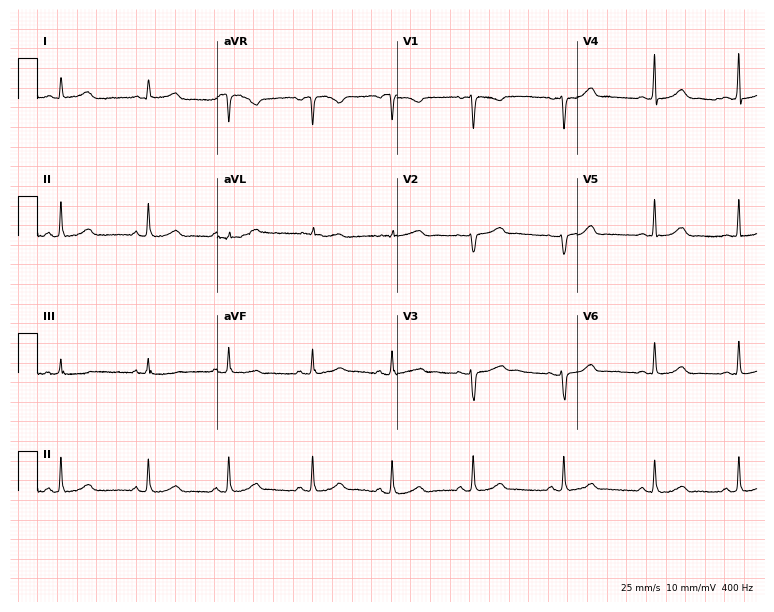
12-lead ECG from a 41-year-old woman. Screened for six findings — first-degree AV block, right bundle branch block, left bundle branch block, sinus bradycardia, atrial fibrillation, sinus tachycardia — none is recorded. Other findings, if any, are not listed.